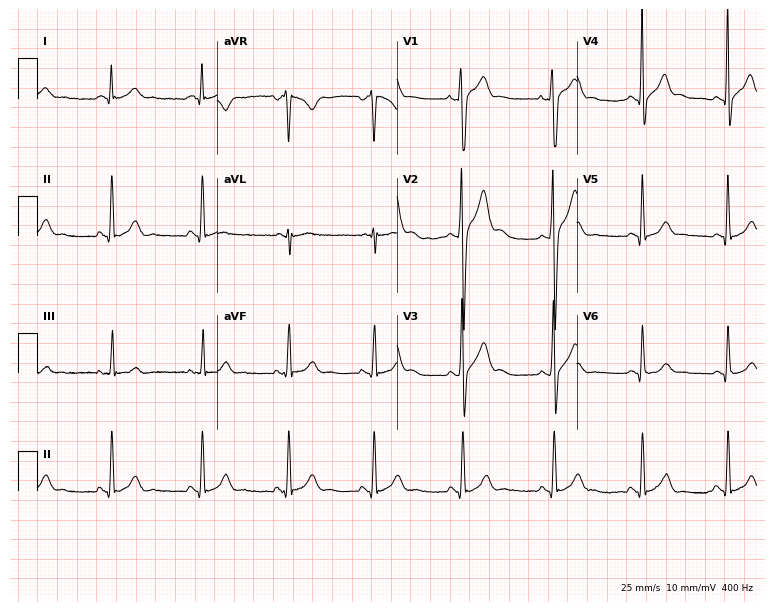
Electrocardiogram (7.3-second recording at 400 Hz), an 18-year-old male patient. Overall reading on record: normal ECG.